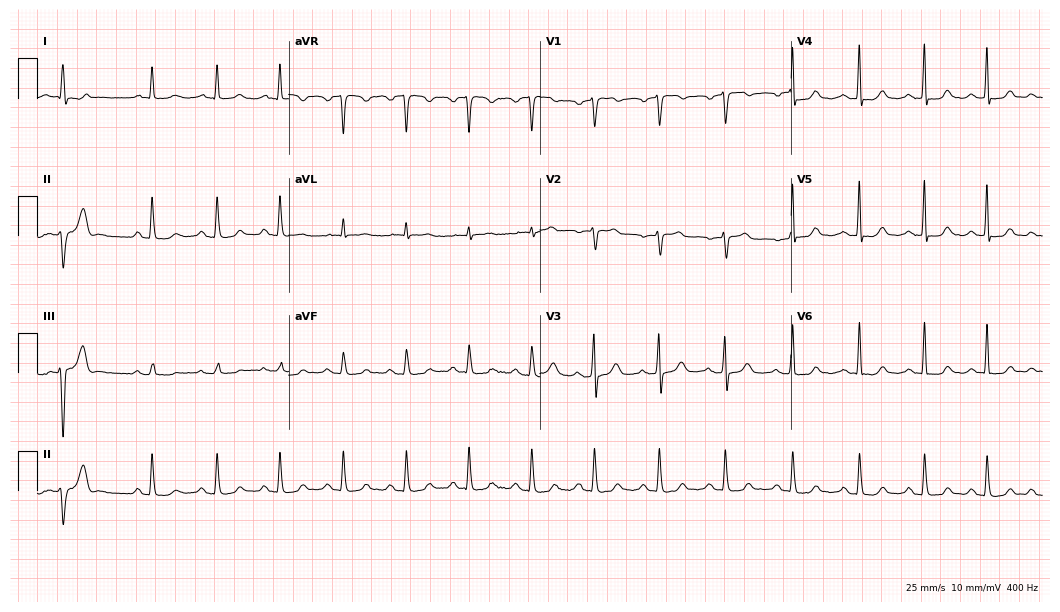
Standard 12-lead ECG recorded from a female patient, 75 years old. None of these six findings is recorded: first-degree AV block, right bundle branch block, left bundle branch block, sinus bradycardia, atrial fibrillation, sinus tachycardia.